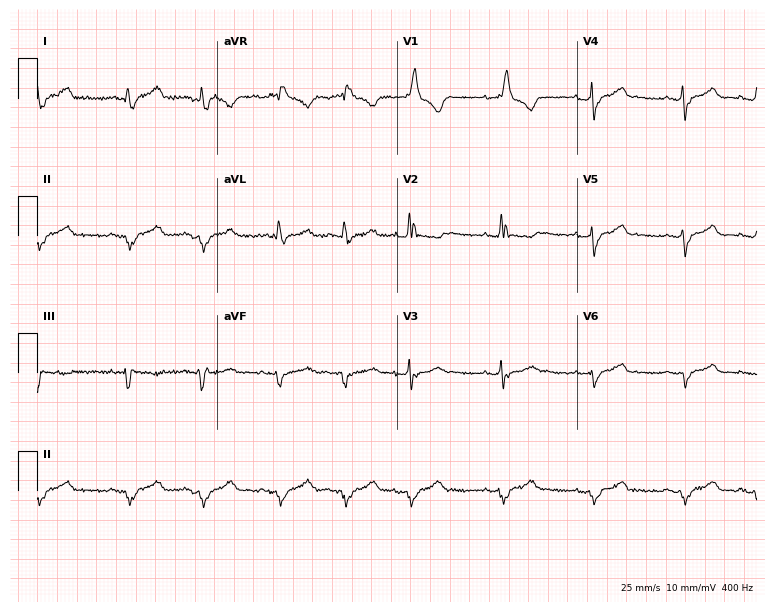
Standard 12-lead ECG recorded from a female, 67 years old (7.3-second recording at 400 Hz). The tracing shows right bundle branch block (RBBB).